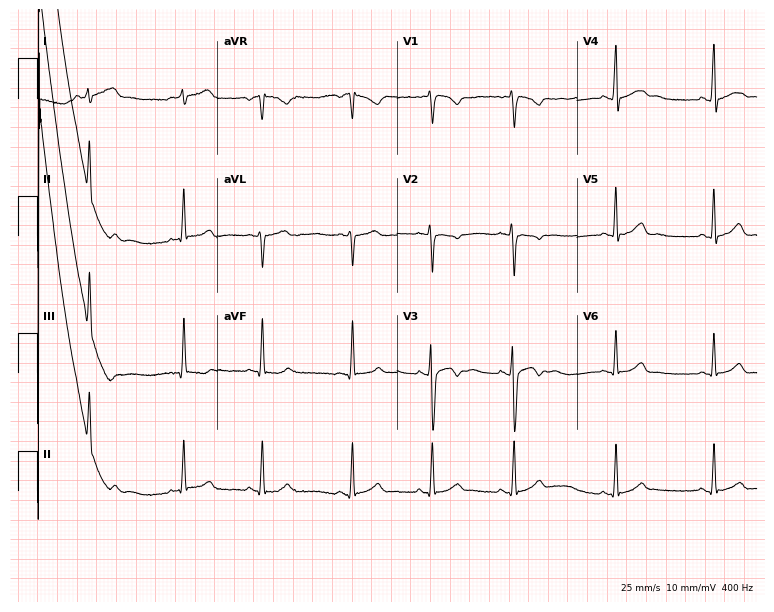
Resting 12-lead electrocardiogram. Patient: an 18-year-old woman. Read as a normal ECG.